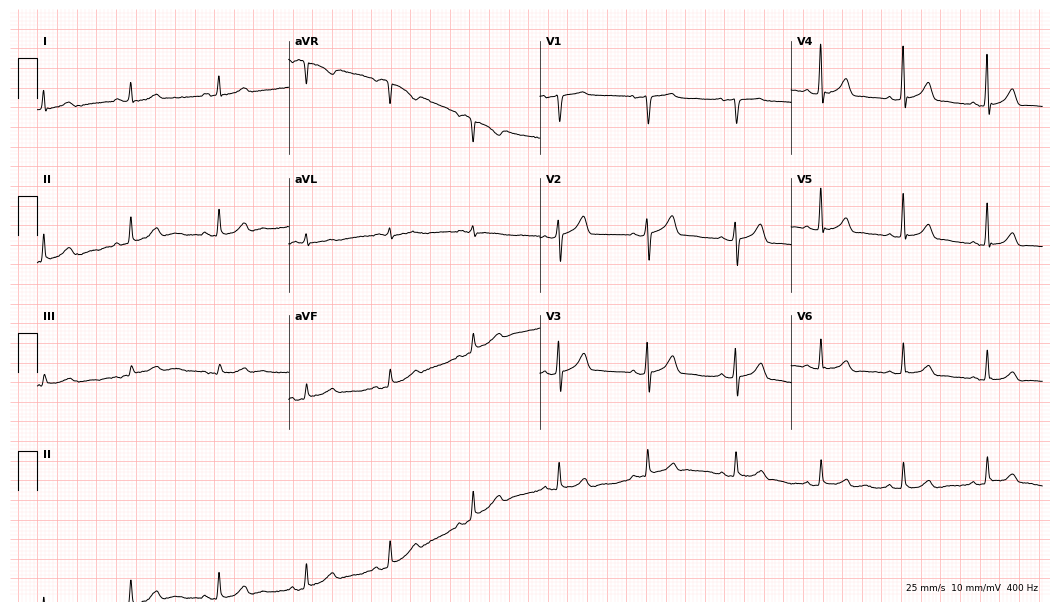
ECG — a woman, 72 years old. Labelled as a normal ECG.